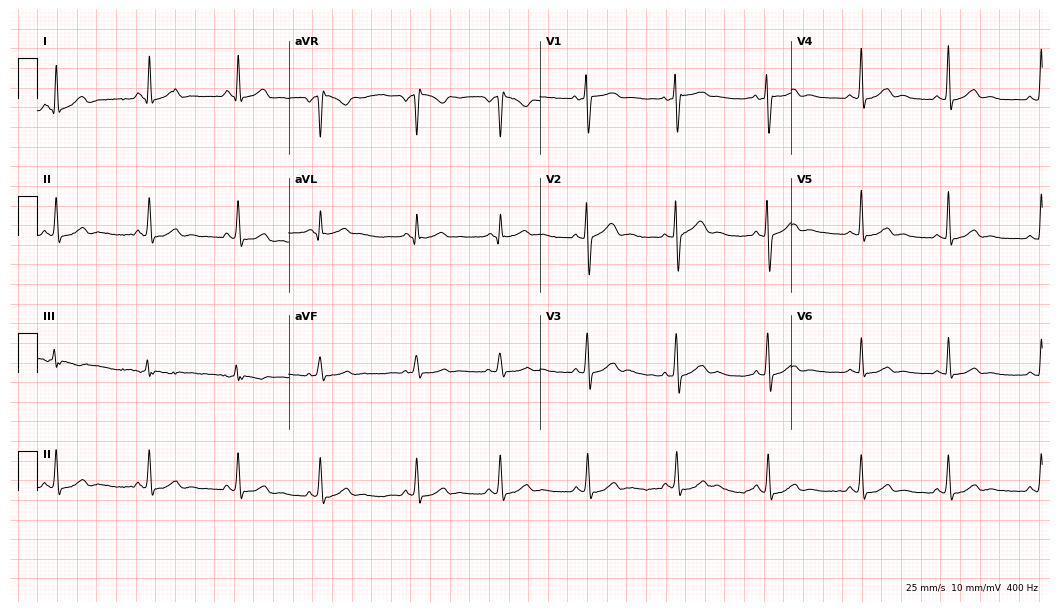
Electrocardiogram, a 22-year-old female. Overall reading on record: normal ECG.